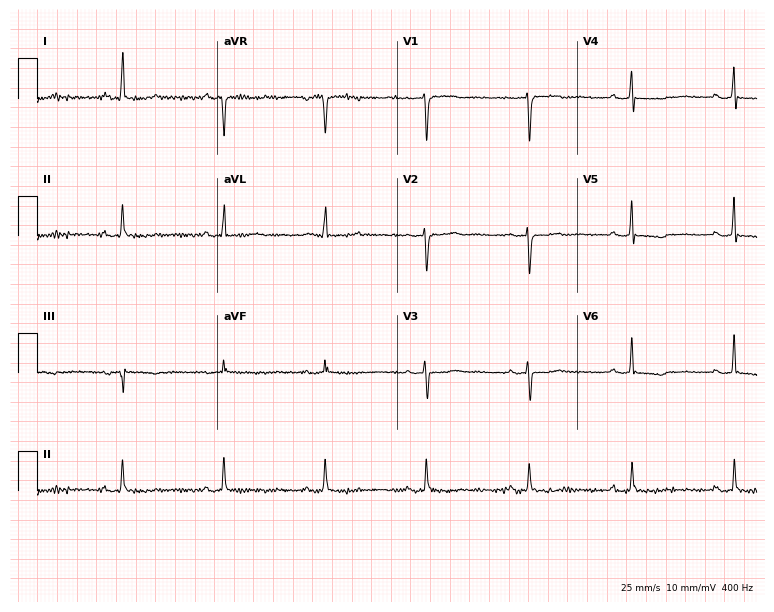
12-lead ECG from a female, 53 years old (7.3-second recording at 400 Hz). No first-degree AV block, right bundle branch block, left bundle branch block, sinus bradycardia, atrial fibrillation or sinus tachycardia recorded for this tracing.